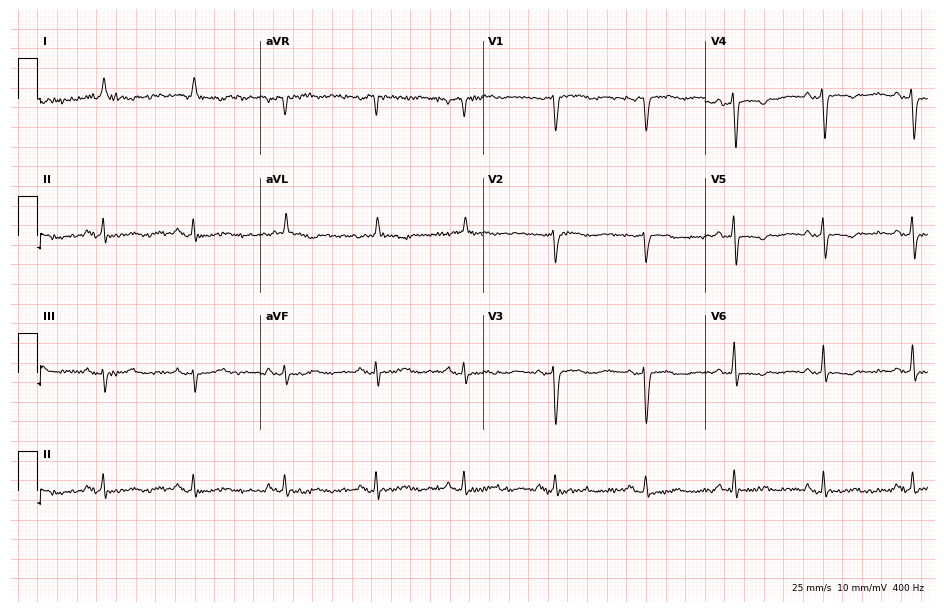
ECG — a woman, 70 years old. Screened for six findings — first-degree AV block, right bundle branch block (RBBB), left bundle branch block (LBBB), sinus bradycardia, atrial fibrillation (AF), sinus tachycardia — none is recorded. Findings outside these six are not listed.